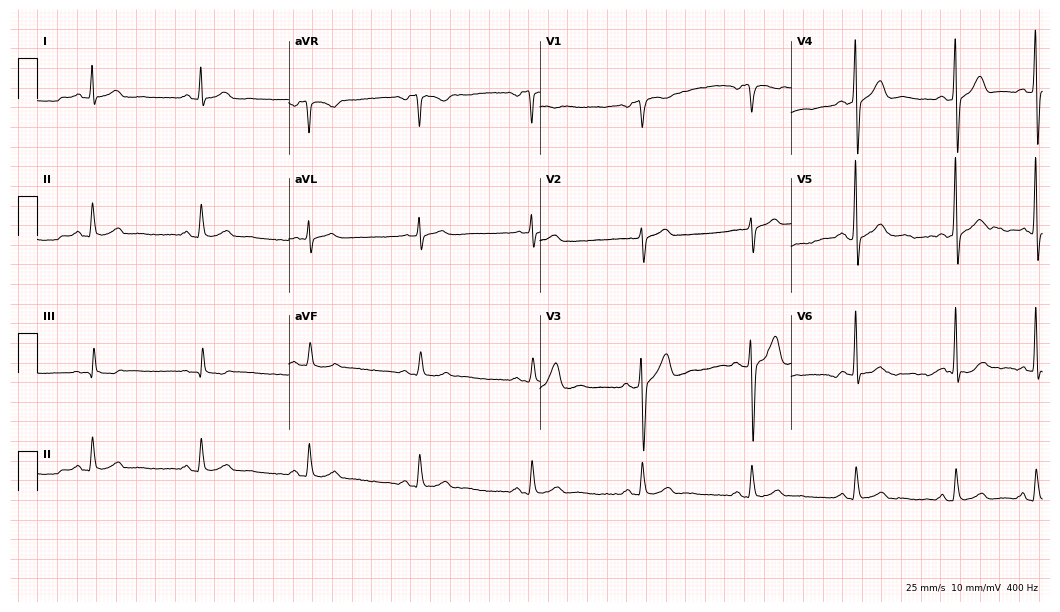
12-lead ECG from a male patient, 59 years old. Screened for six findings — first-degree AV block, right bundle branch block (RBBB), left bundle branch block (LBBB), sinus bradycardia, atrial fibrillation (AF), sinus tachycardia — none is recorded.